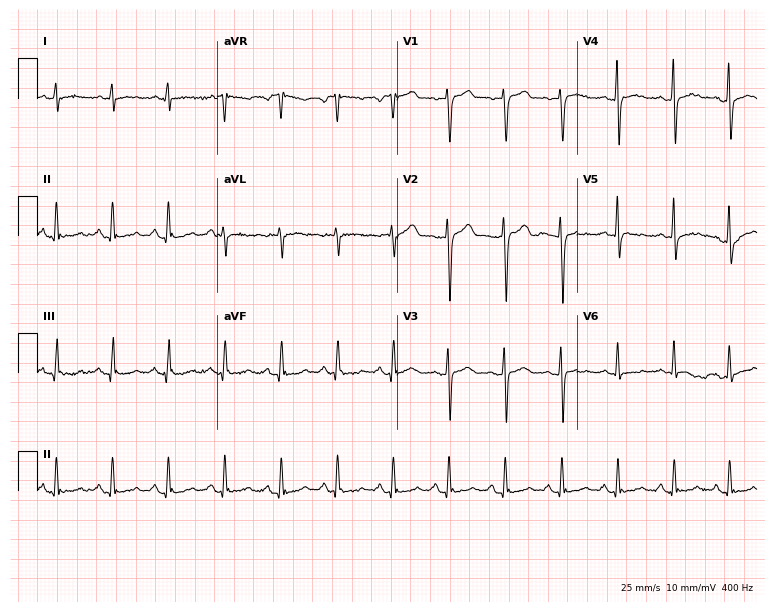
Resting 12-lead electrocardiogram. Patient: a 59-year-old female. The tracing shows sinus tachycardia (a sinus rate of 100 beats per minute or more).